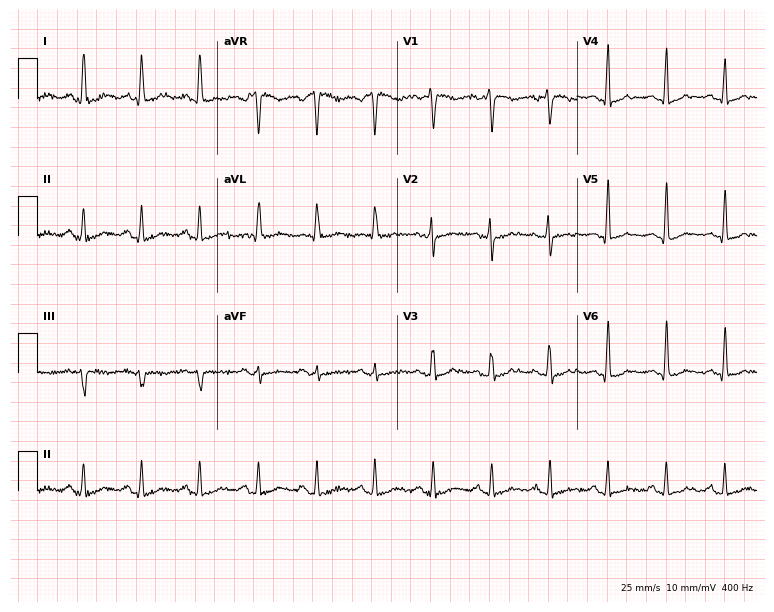
12-lead ECG from a female patient, 41 years old. Screened for six findings — first-degree AV block, right bundle branch block, left bundle branch block, sinus bradycardia, atrial fibrillation, sinus tachycardia — none is recorded.